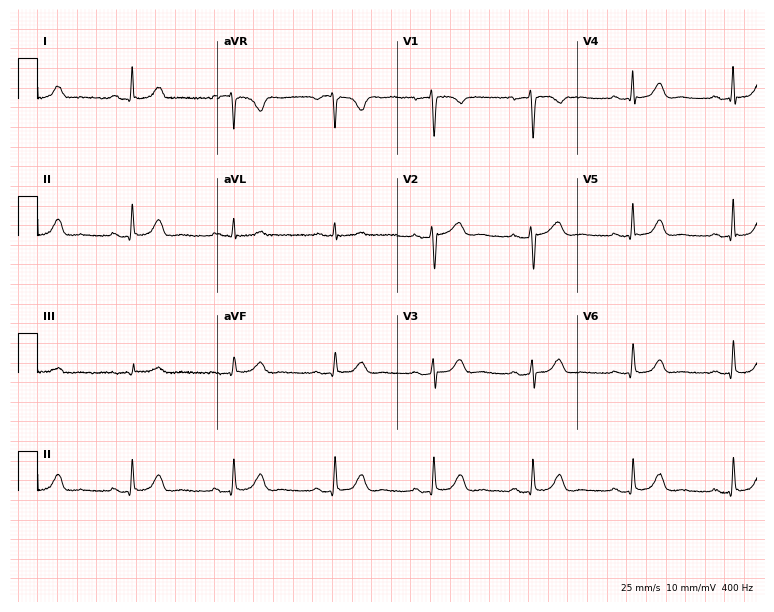
12-lead ECG from a woman, 52 years old (7.3-second recording at 400 Hz). No first-degree AV block, right bundle branch block, left bundle branch block, sinus bradycardia, atrial fibrillation or sinus tachycardia recorded for this tracing. Only these six findings were labelled.